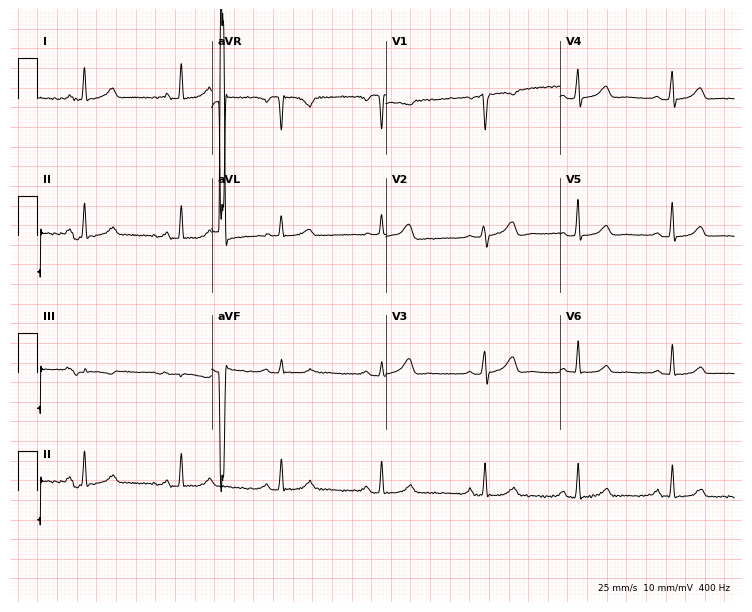
Standard 12-lead ECG recorded from a 38-year-old woman (7.1-second recording at 400 Hz). Read as a normal ECG.